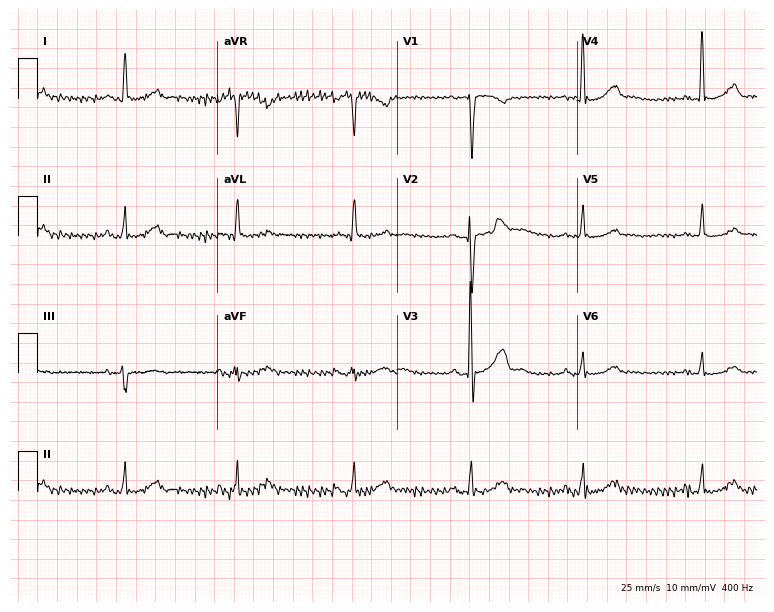
ECG (7.3-second recording at 400 Hz) — a 49-year-old male. Screened for six findings — first-degree AV block, right bundle branch block (RBBB), left bundle branch block (LBBB), sinus bradycardia, atrial fibrillation (AF), sinus tachycardia — none is recorded.